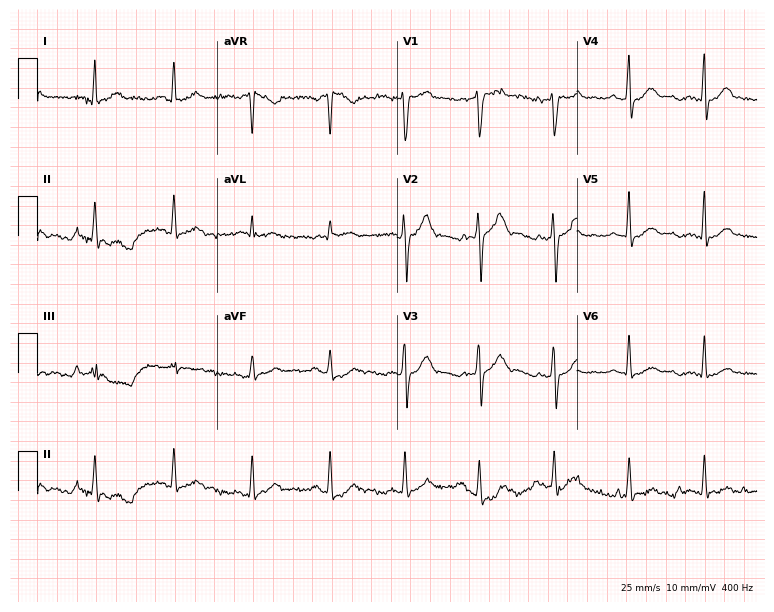
12-lead ECG from a male patient, 54 years old. Screened for six findings — first-degree AV block, right bundle branch block, left bundle branch block, sinus bradycardia, atrial fibrillation, sinus tachycardia — none is recorded. Findings outside these six are not listed.